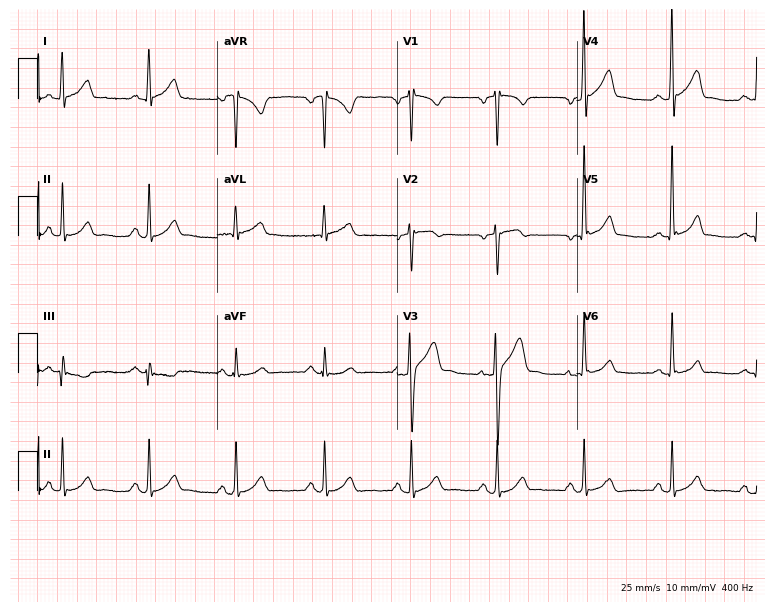
12-lead ECG from a male patient, 35 years old. No first-degree AV block, right bundle branch block, left bundle branch block, sinus bradycardia, atrial fibrillation or sinus tachycardia recorded for this tracing. Findings outside these six are not listed.